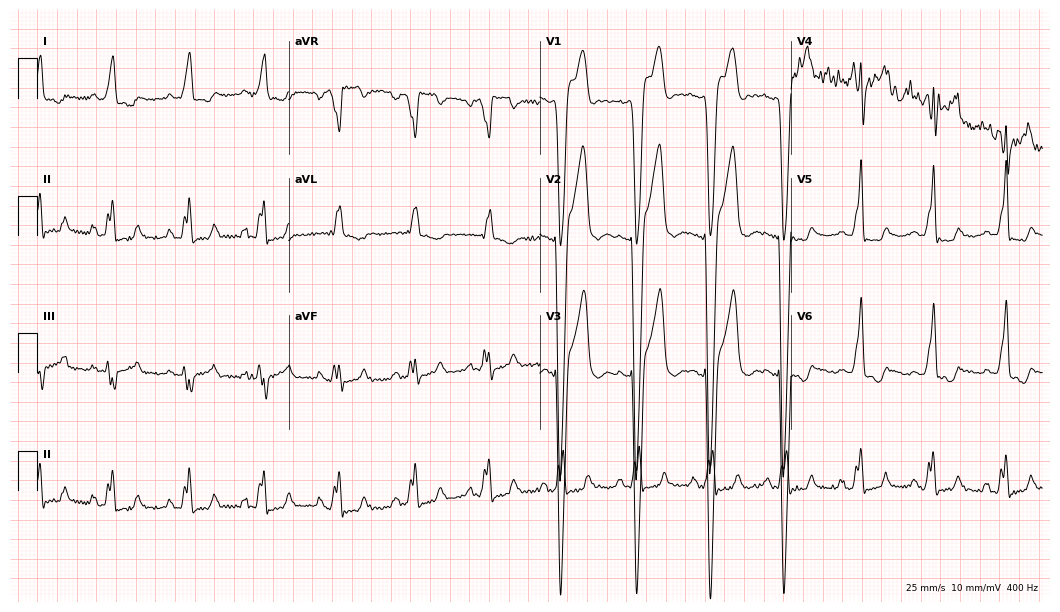
Standard 12-lead ECG recorded from a male, 26 years old. The tracing shows left bundle branch block.